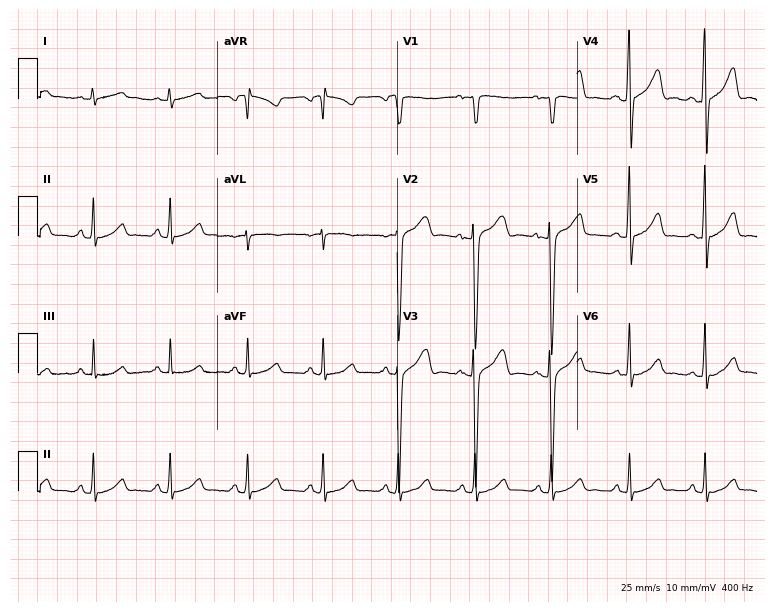
Standard 12-lead ECG recorded from a male, 29 years old (7.3-second recording at 400 Hz). Read as a normal ECG.